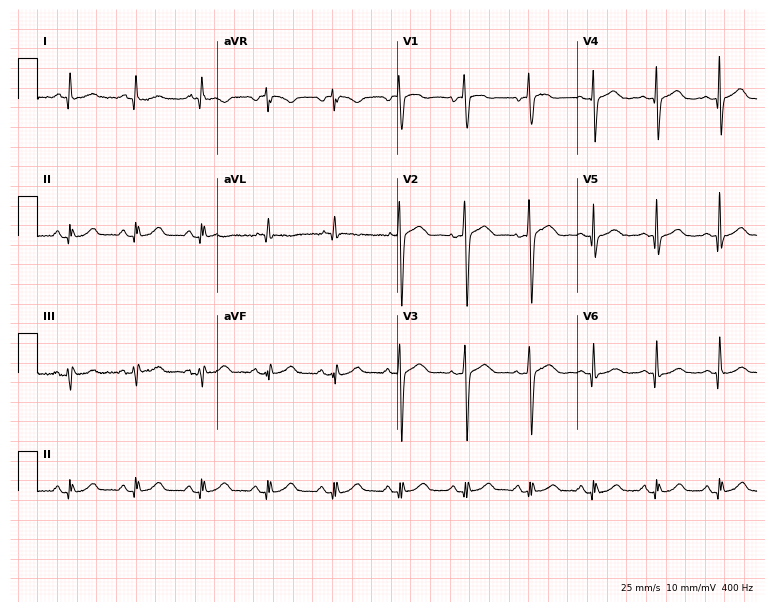
ECG — a 66-year-old female. Screened for six findings — first-degree AV block, right bundle branch block (RBBB), left bundle branch block (LBBB), sinus bradycardia, atrial fibrillation (AF), sinus tachycardia — none is recorded.